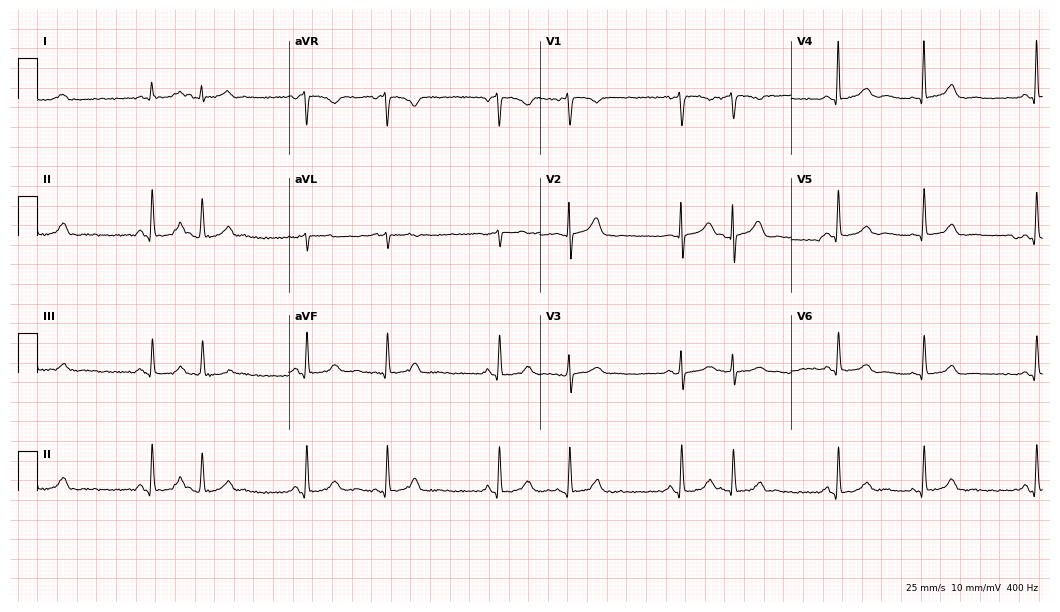
Standard 12-lead ECG recorded from a 59-year-old female. None of these six findings is recorded: first-degree AV block, right bundle branch block (RBBB), left bundle branch block (LBBB), sinus bradycardia, atrial fibrillation (AF), sinus tachycardia.